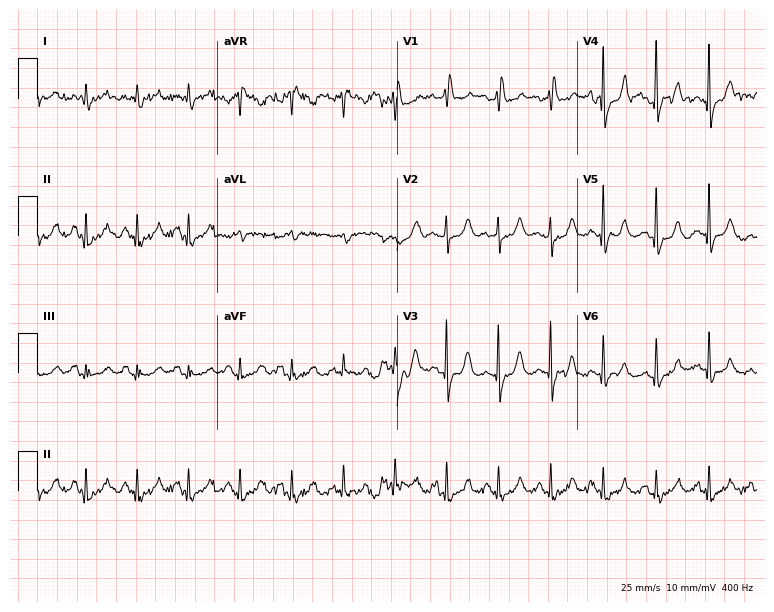
Electrocardiogram, a man, 70 years old. Interpretation includes sinus tachycardia (a sinus rate of 100 beats per minute or more).